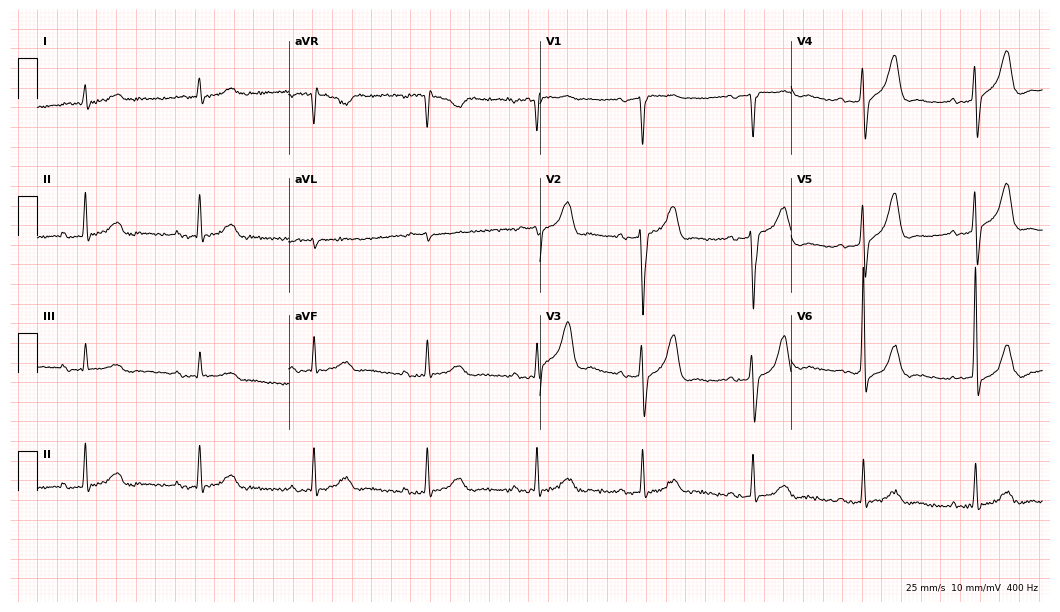
Standard 12-lead ECG recorded from an 84-year-old man (10.2-second recording at 400 Hz). The tracing shows first-degree AV block.